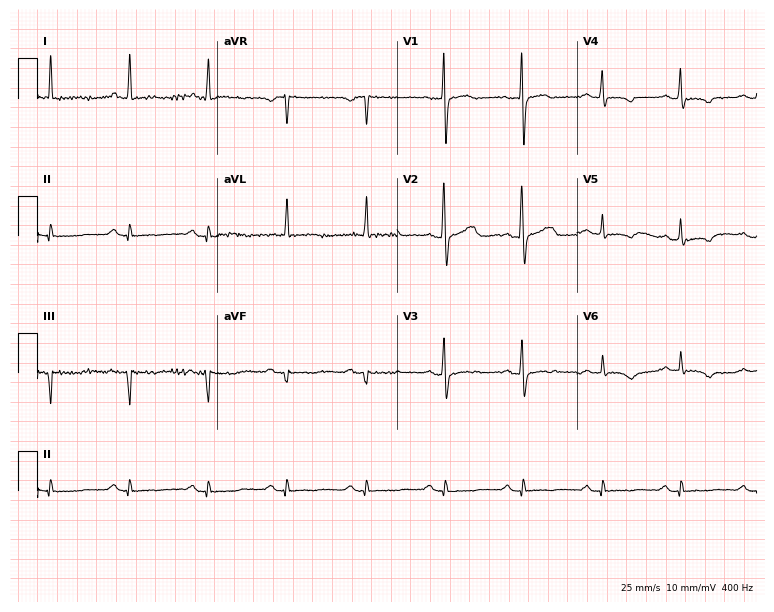
12-lead ECG (7.3-second recording at 400 Hz) from a female, 58 years old. Screened for six findings — first-degree AV block, right bundle branch block, left bundle branch block, sinus bradycardia, atrial fibrillation, sinus tachycardia — none is recorded.